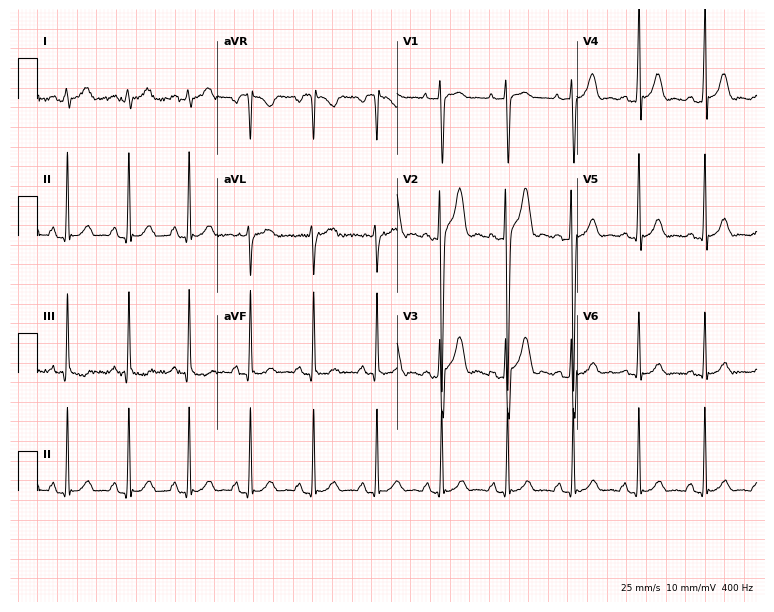
Resting 12-lead electrocardiogram (7.3-second recording at 400 Hz). Patient: a male, 17 years old. None of these six findings is recorded: first-degree AV block, right bundle branch block (RBBB), left bundle branch block (LBBB), sinus bradycardia, atrial fibrillation (AF), sinus tachycardia.